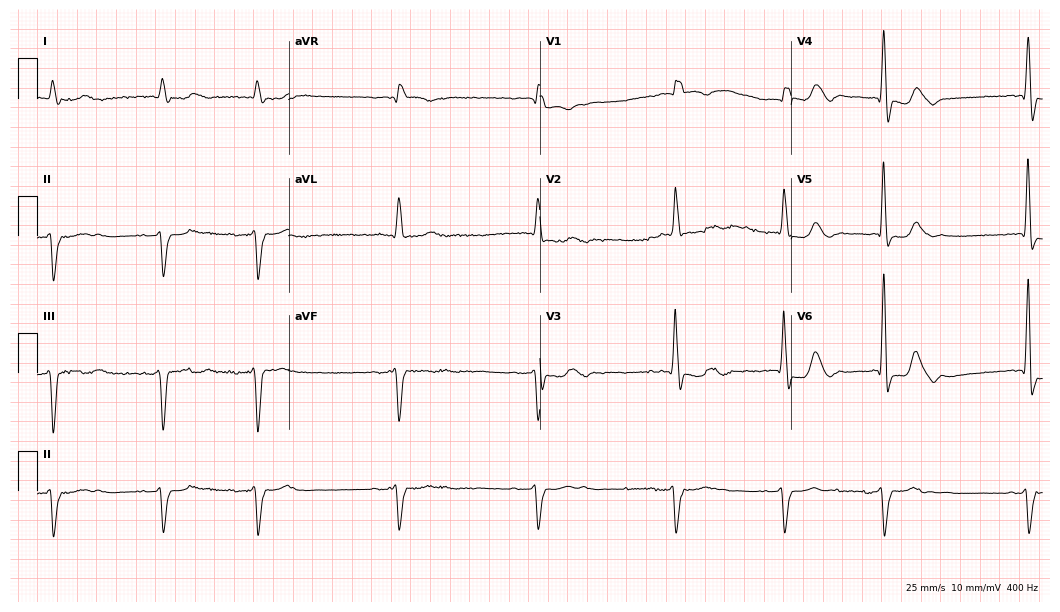
ECG (10.2-second recording at 400 Hz) — a male patient, 74 years old. Findings include first-degree AV block, right bundle branch block (RBBB), atrial fibrillation (AF).